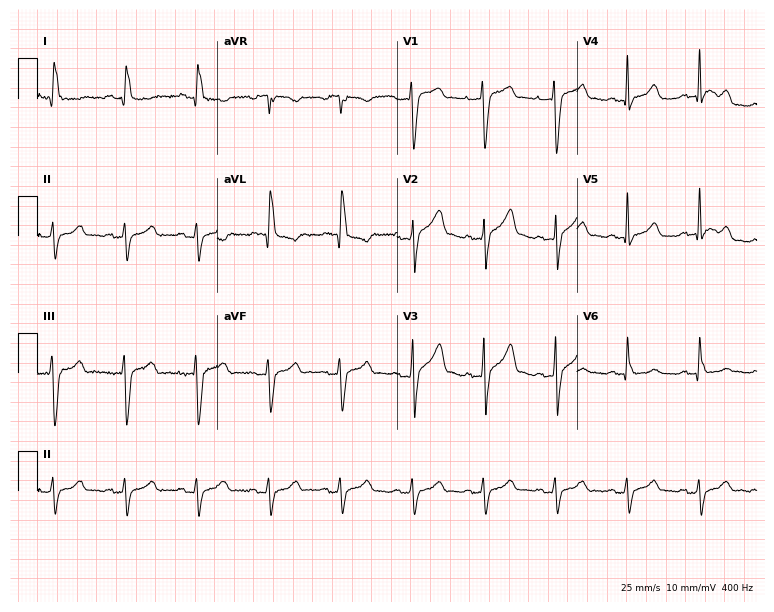
12-lead ECG from a 29-year-old male patient (7.3-second recording at 400 Hz). No first-degree AV block, right bundle branch block (RBBB), left bundle branch block (LBBB), sinus bradycardia, atrial fibrillation (AF) or sinus tachycardia recorded for this tracing.